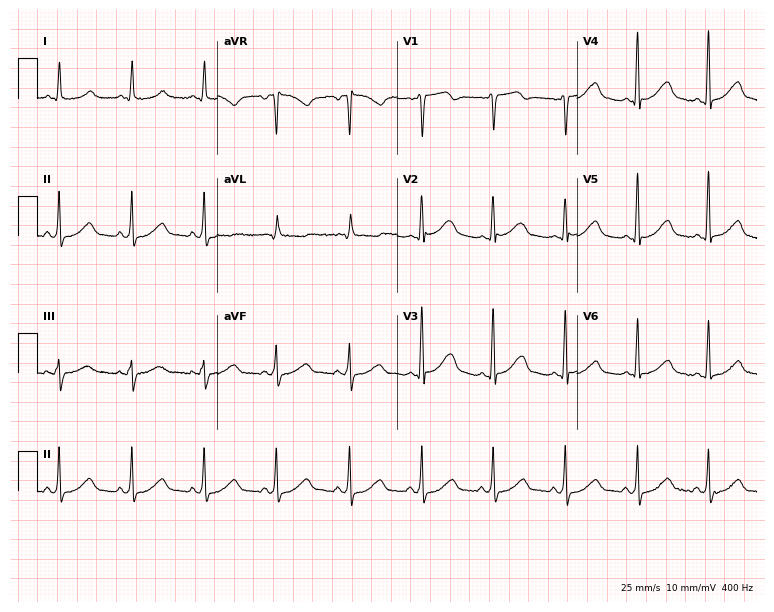
12-lead ECG from a 48-year-old woman. No first-degree AV block, right bundle branch block, left bundle branch block, sinus bradycardia, atrial fibrillation or sinus tachycardia recorded for this tracing. Only these six findings were labelled.